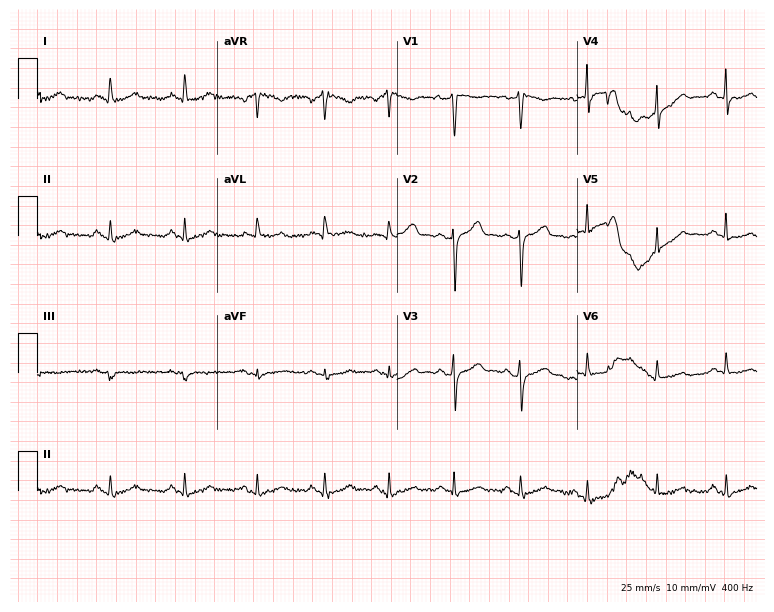
Electrocardiogram (7.3-second recording at 400 Hz), a male, 56 years old. Of the six screened findings (first-degree AV block, right bundle branch block (RBBB), left bundle branch block (LBBB), sinus bradycardia, atrial fibrillation (AF), sinus tachycardia), none is recorded.